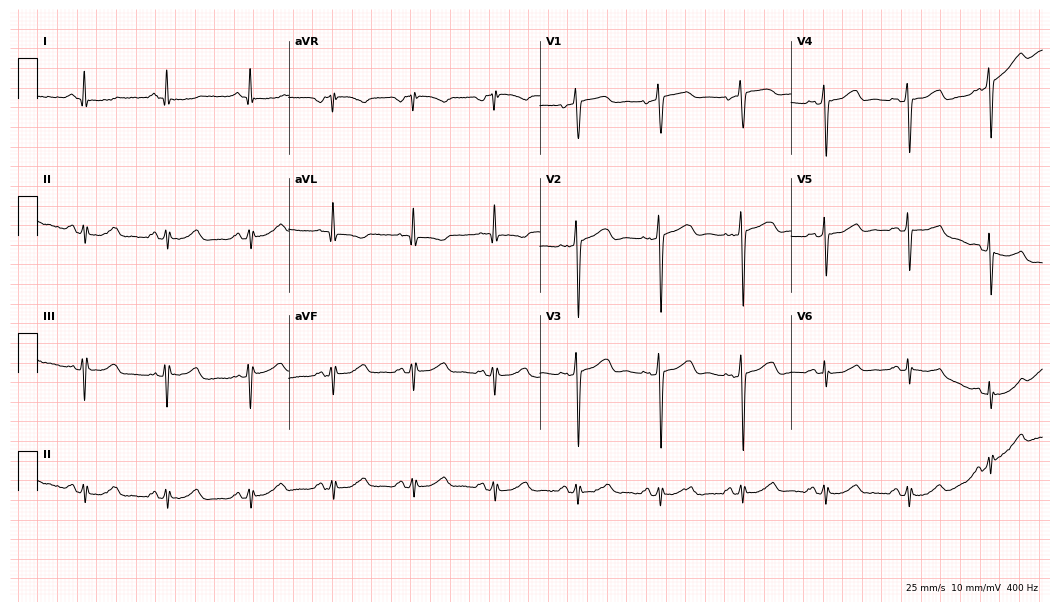
Resting 12-lead electrocardiogram (10.2-second recording at 400 Hz). Patient: a woman, 53 years old. None of these six findings is recorded: first-degree AV block, right bundle branch block, left bundle branch block, sinus bradycardia, atrial fibrillation, sinus tachycardia. Only these six findings were labelled.